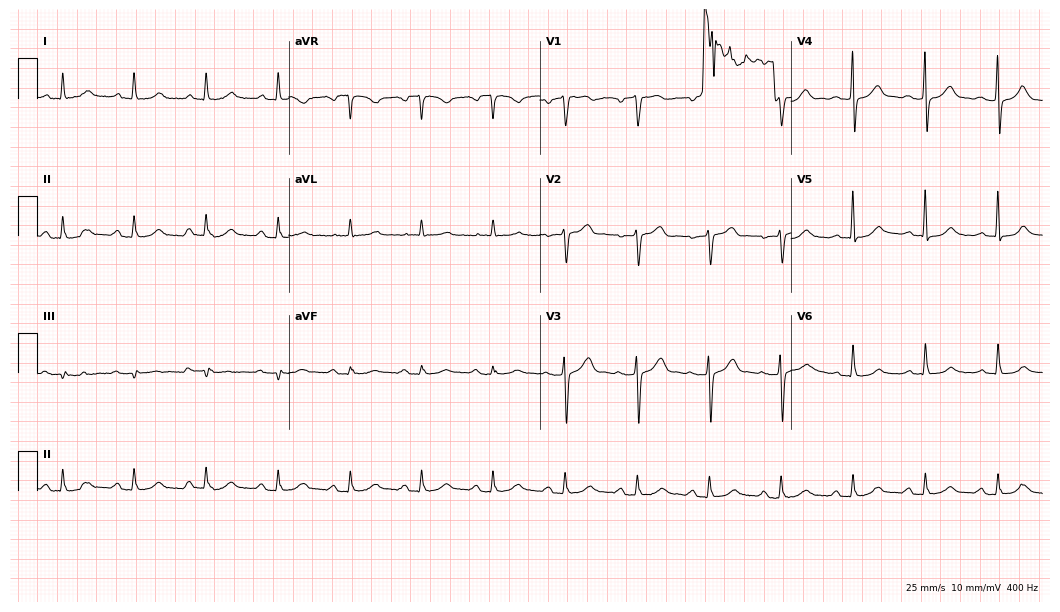
ECG (10.2-second recording at 400 Hz) — a male, 73 years old. Screened for six findings — first-degree AV block, right bundle branch block (RBBB), left bundle branch block (LBBB), sinus bradycardia, atrial fibrillation (AF), sinus tachycardia — none is recorded.